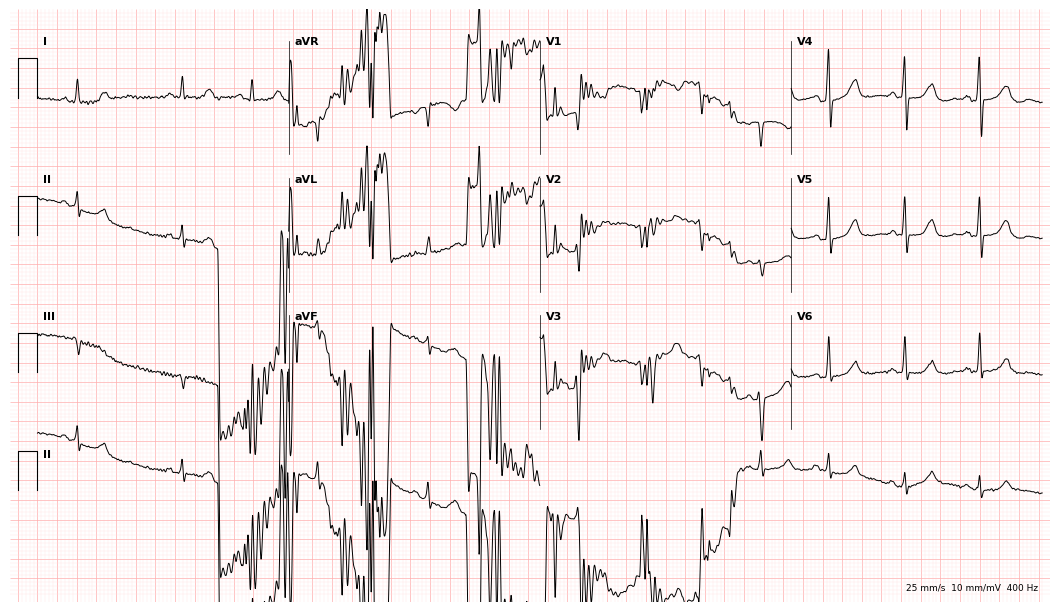
ECG (10.2-second recording at 400 Hz) — a 79-year-old male. Screened for six findings — first-degree AV block, right bundle branch block (RBBB), left bundle branch block (LBBB), sinus bradycardia, atrial fibrillation (AF), sinus tachycardia — none is recorded. Only these six findings were labelled.